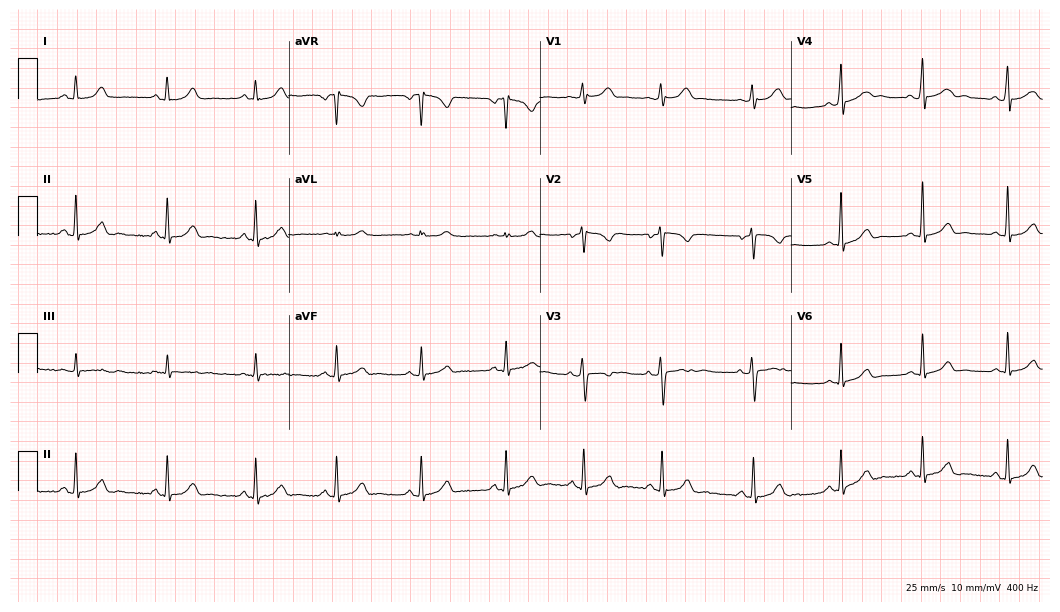
ECG — a female patient, 34 years old. Labelled as a normal ECG.